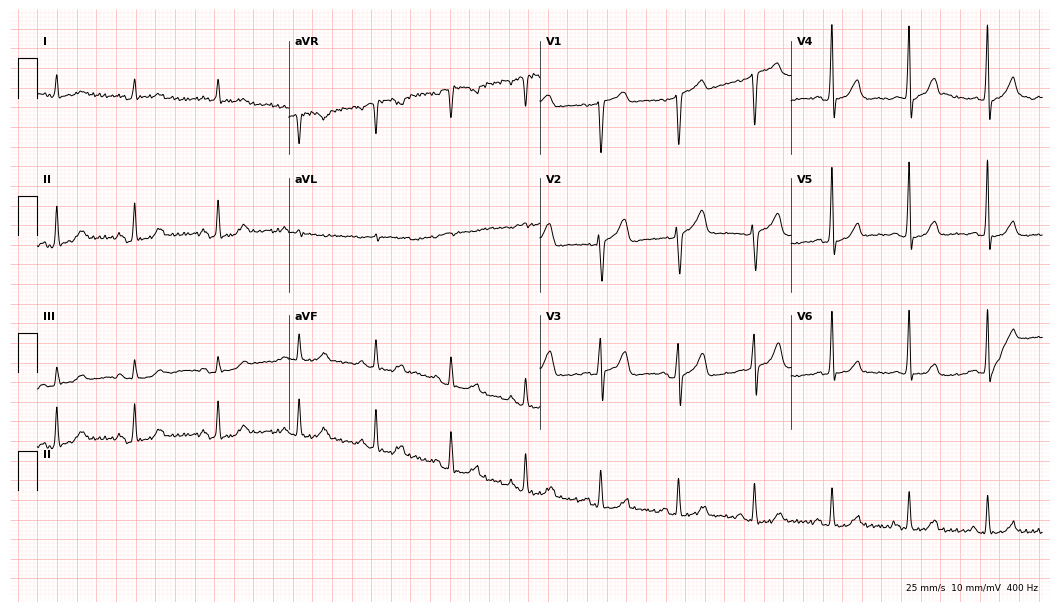
Electrocardiogram (10.2-second recording at 400 Hz), a male, 63 years old. Overall reading on record: normal ECG.